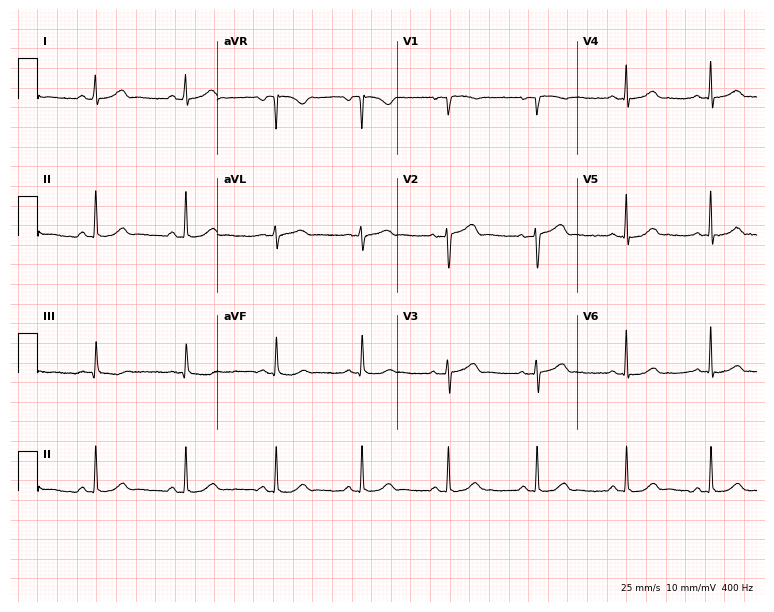
12-lead ECG from a female, 49 years old. Labelled as a normal ECG.